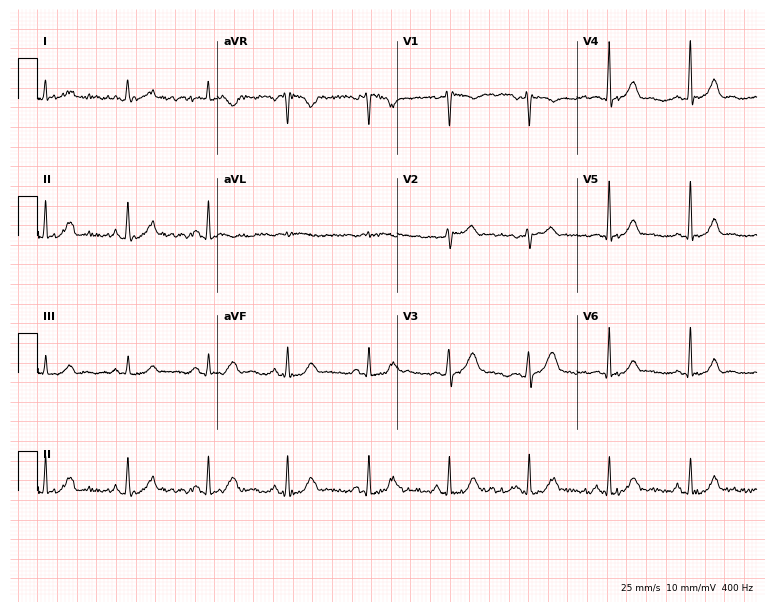
Standard 12-lead ECG recorded from a male, 61 years old. None of these six findings is recorded: first-degree AV block, right bundle branch block (RBBB), left bundle branch block (LBBB), sinus bradycardia, atrial fibrillation (AF), sinus tachycardia.